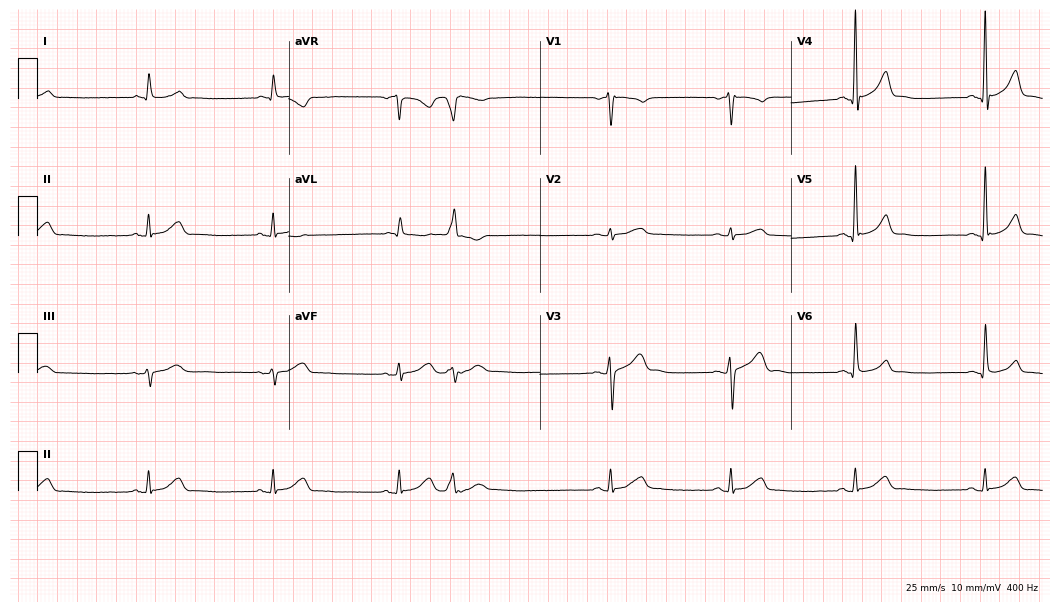
ECG (10.2-second recording at 400 Hz) — a man, 64 years old. Findings include sinus bradycardia (a sinus rate of 50 beats per minute or less).